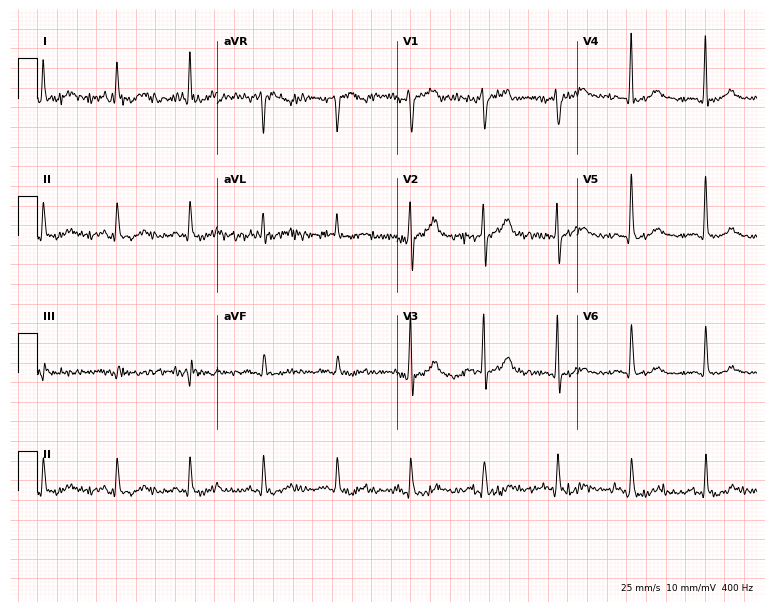
Electrocardiogram, a male patient, 70 years old. Of the six screened findings (first-degree AV block, right bundle branch block (RBBB), left bundle branch block (LBBB), sinus bradycardia, atrial fibrillation (AF), sinus tachycardia), none is recorded.